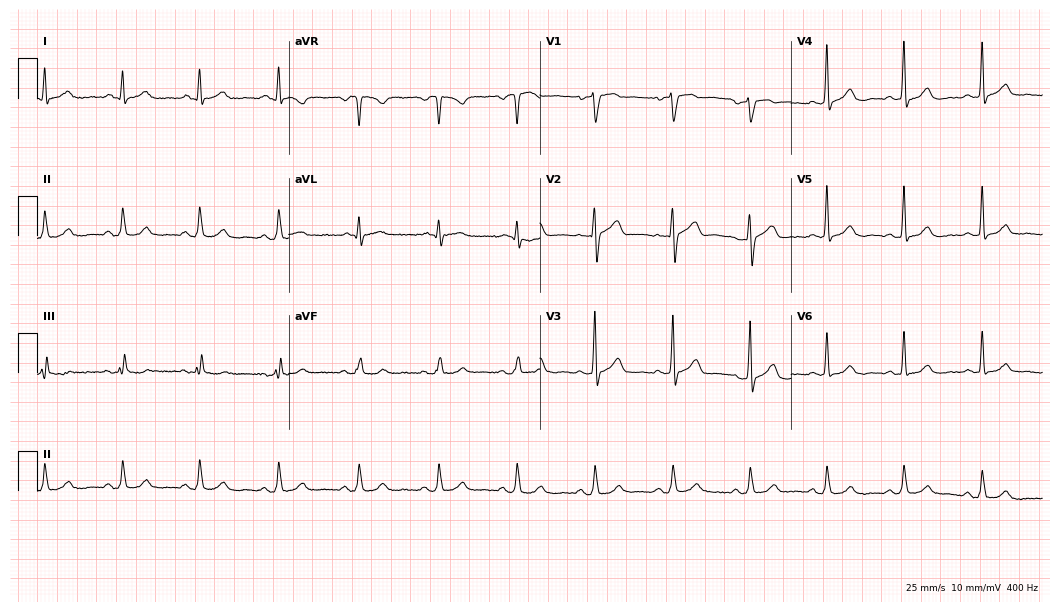
Electrocardiogram, a man, 68 years old. Overall reading on record: normal ECG.